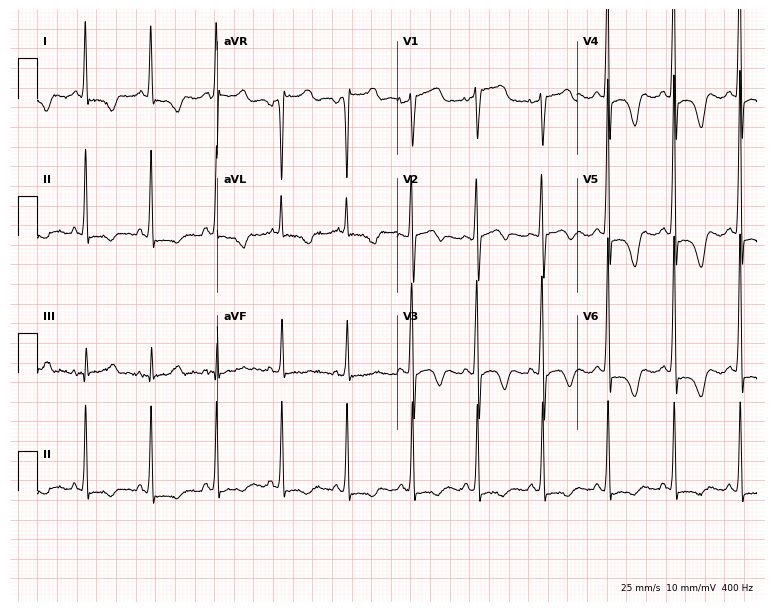
12-lead ECG (7.3-second recording at 400 Hz) from a female patient, 55 years old. Screened for six findings — first-degree AV block, right bundle branch block (RBBB), left bundle branch block (LBBB), sinus bradycardia, atrial fibrillation (AF), sinus tachycardia — none is recorded. Only these six findings were labelled.